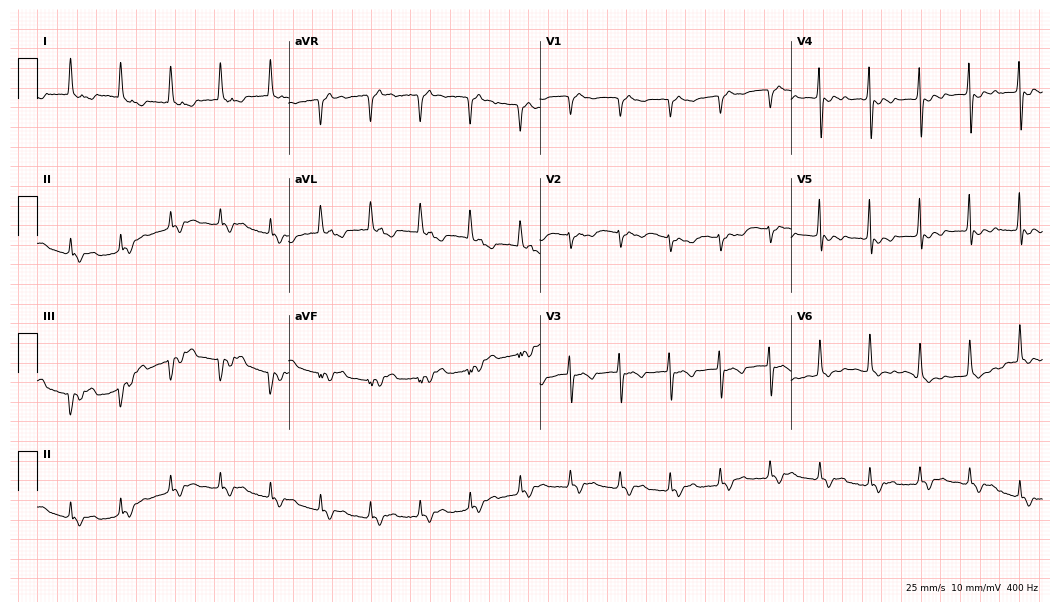
Electrocardiogram, a woman, 68 years old. Of the six screened findings (first-degree AV block, right bundle branch block, left bundle branch block, sinus bradycardia, atrial fibrillation, sinus tachycardia), none is recorded.